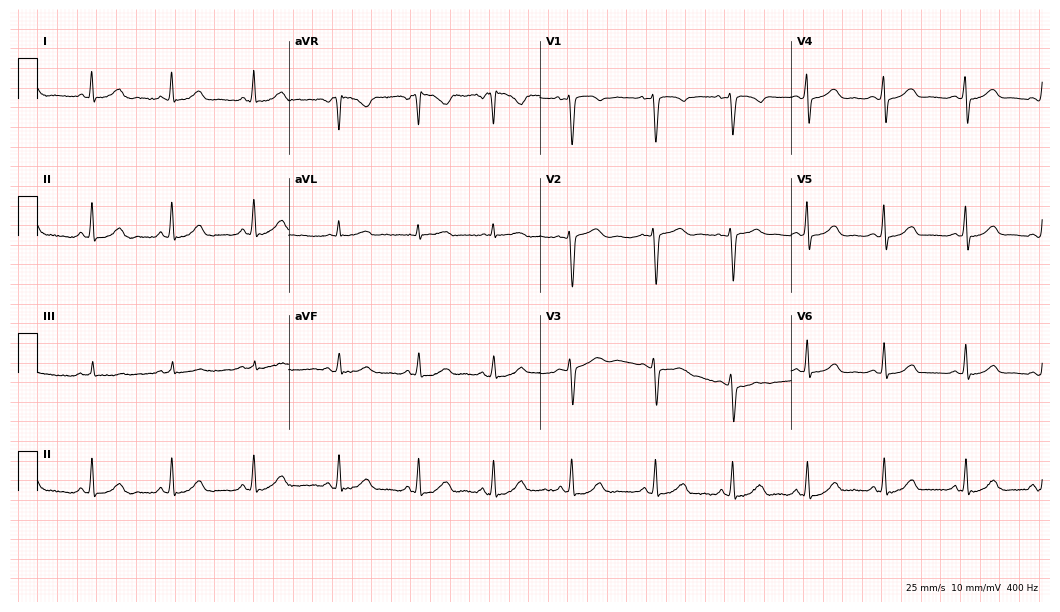
Resting 12-lead electrocardiogram. Patient: a 42-year-old female. None of these six findings is recorded: first-degree AV block, right bundle branch block, left bundle branch block, sinus bradycardia, atrial fibrillation, sinus tachycardia.